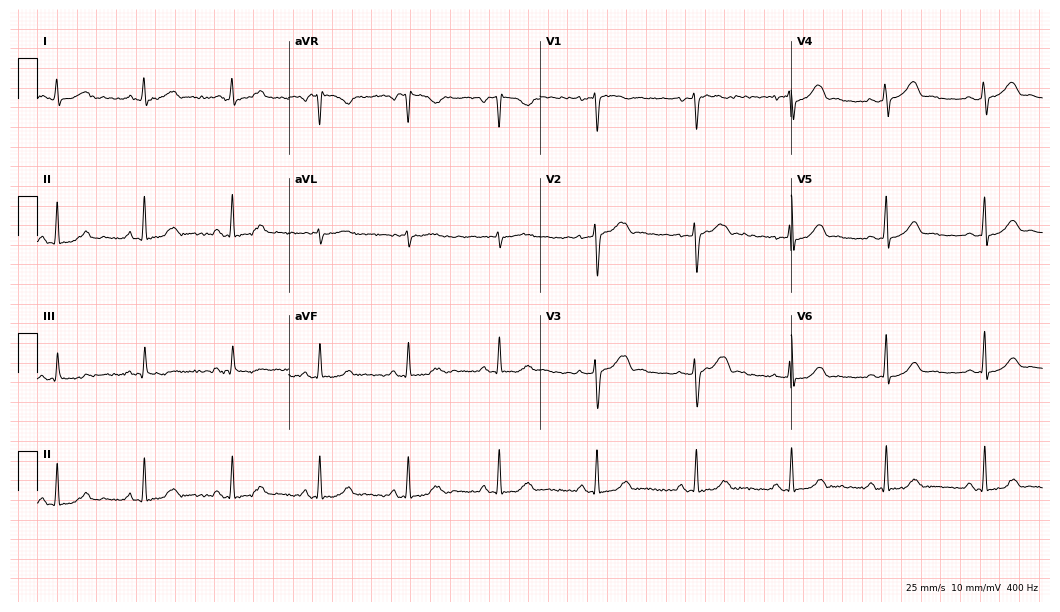
12-lead ECG from a female patient, 35 years old. Recorded interpretation: within normal limits.